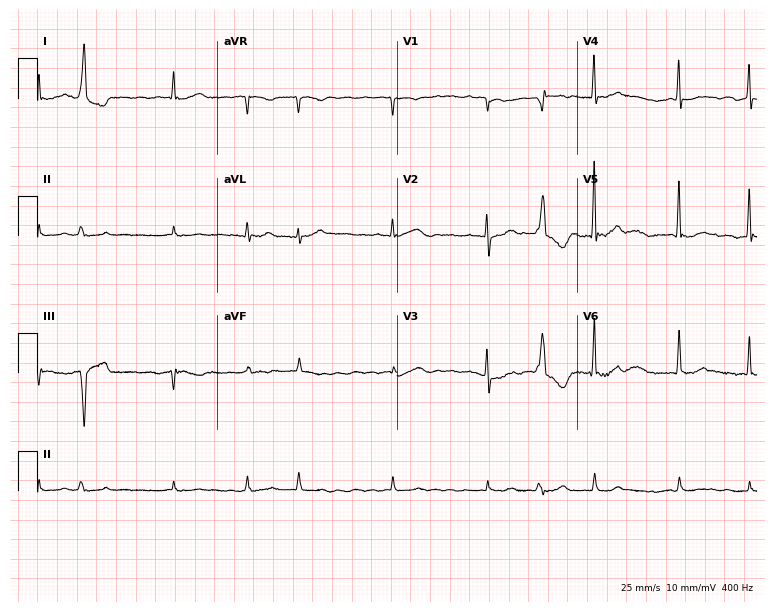
ECG — an 85-year-old male patient. Findings include atrial fibrillation.